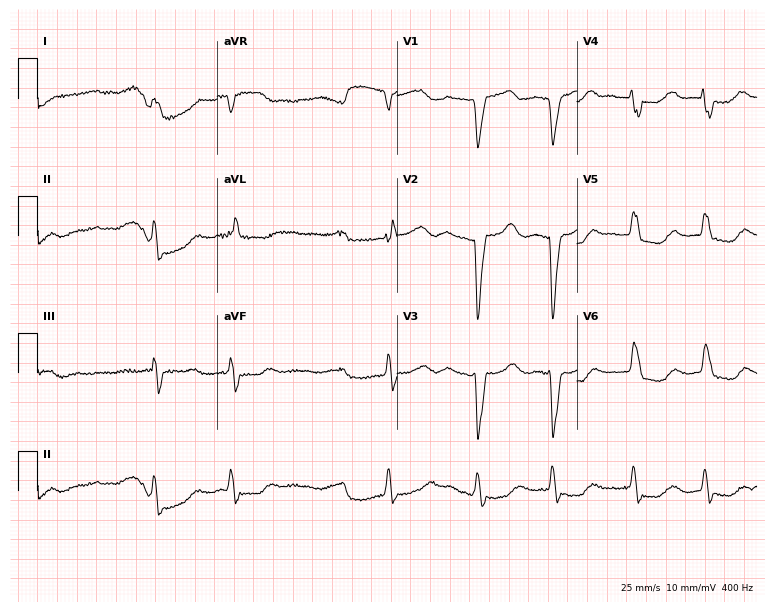
Electrocardiogram (7.3-second recording at 400 Hz), a woman, 76 years old. Of the six screened findings (first-degree AV block, right bundle branch block, left bundle branch block, sinus bradycardia, atrial fibrillation, sinus tachycardia), none is recorded.